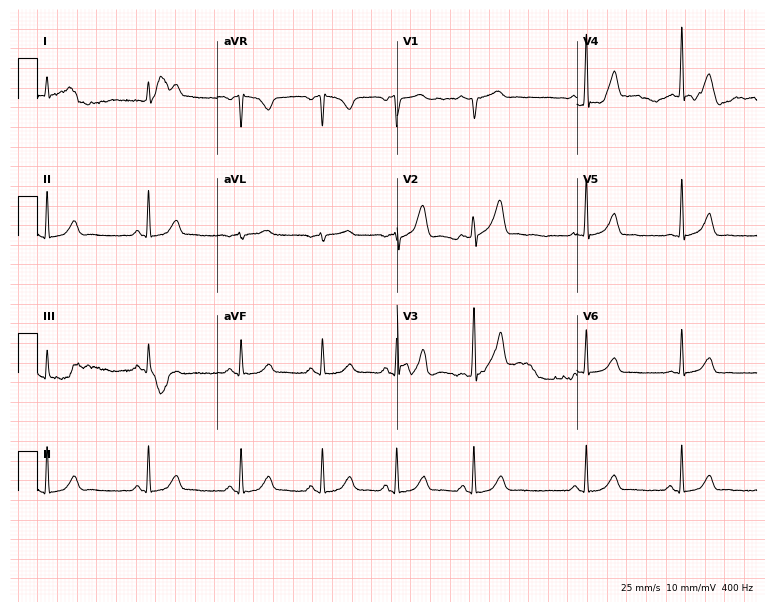
ECG (7.3-second recording at 400 Hz) — a 35-year-old man. Labelled as a normal ECG.